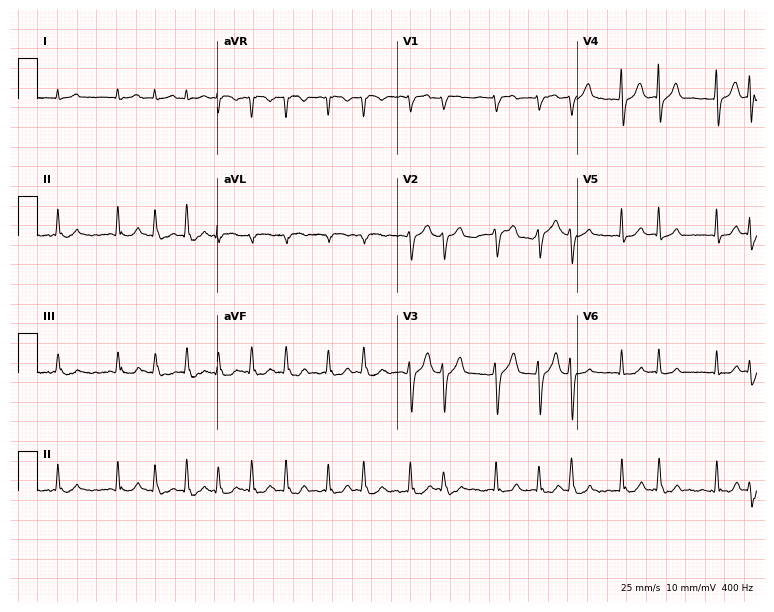
12-lead ECG from a 60-year-old male. Screened for six findings — first-degree AV block, right bundle branch block, left bundle branch block, sinus bradycardia, atrial fibrillation, sinus tachycardia — none is recorded. Other findings, if any, are not listed.